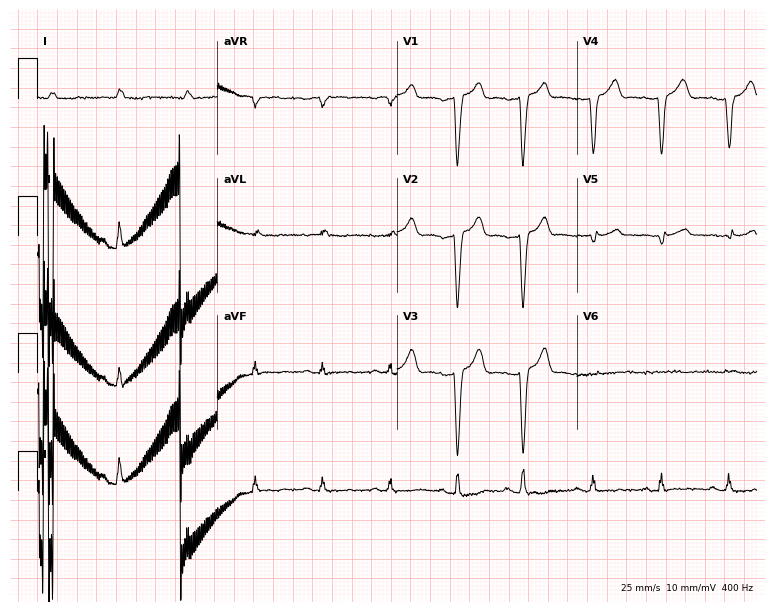
12-lead ECG from a man, 85 years old. No first-degree AV block, right bundle branch block, left bundle branch block, sinus bradycardia, atrial fibrillation or sinus tachycardia recorded for this tracing.